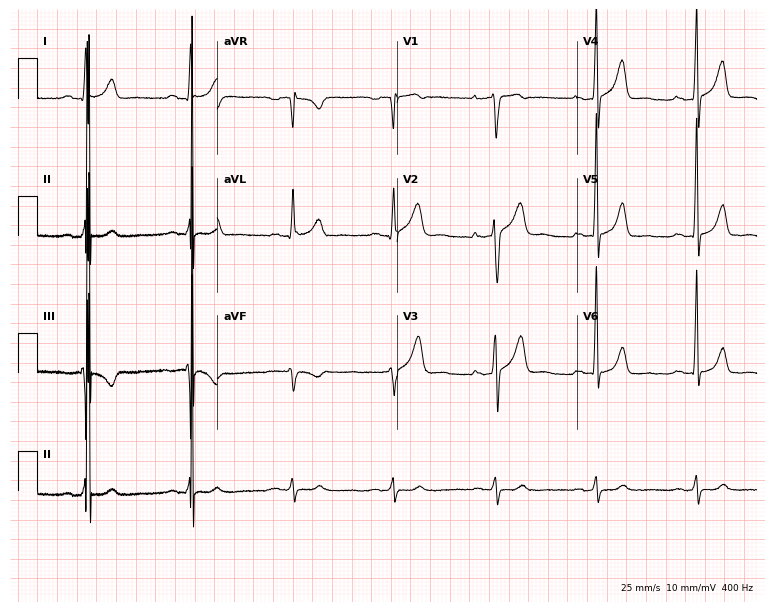
12-lead ECG from a 43-year-old male patient (7.3-second recording at 400 Hz). No first-degree AV block, right bundle branch block, left bundle branch block, sinus bradycardia, atrial fibrillation or sinus tachycardia recorded for this tracing.